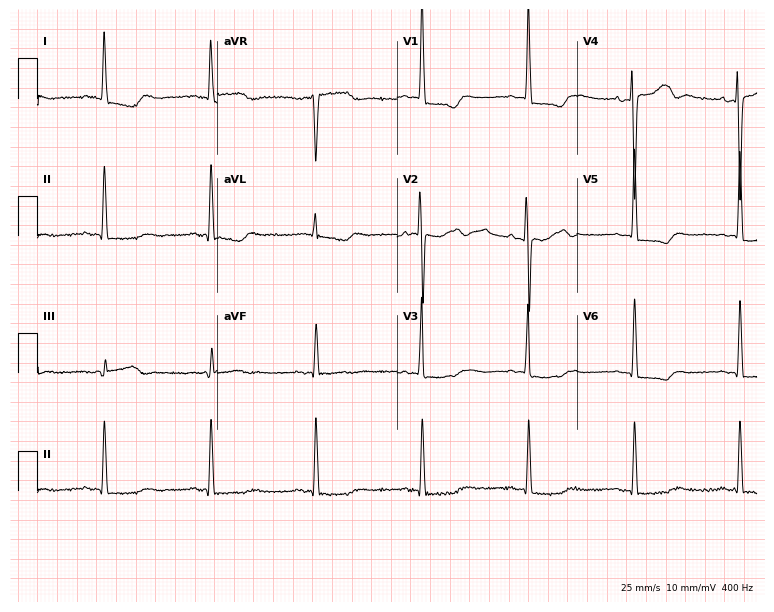
Resting 12-lead electrocardiogram (7.3-second recording at 400 Hz). Patient: a woman, 80 years old. None of these six findings is recorded: first-degree AV block, right bundle branch block, left bundle branch block, sinus bradycardia, atrial fibrillation, sinus tachycardia.